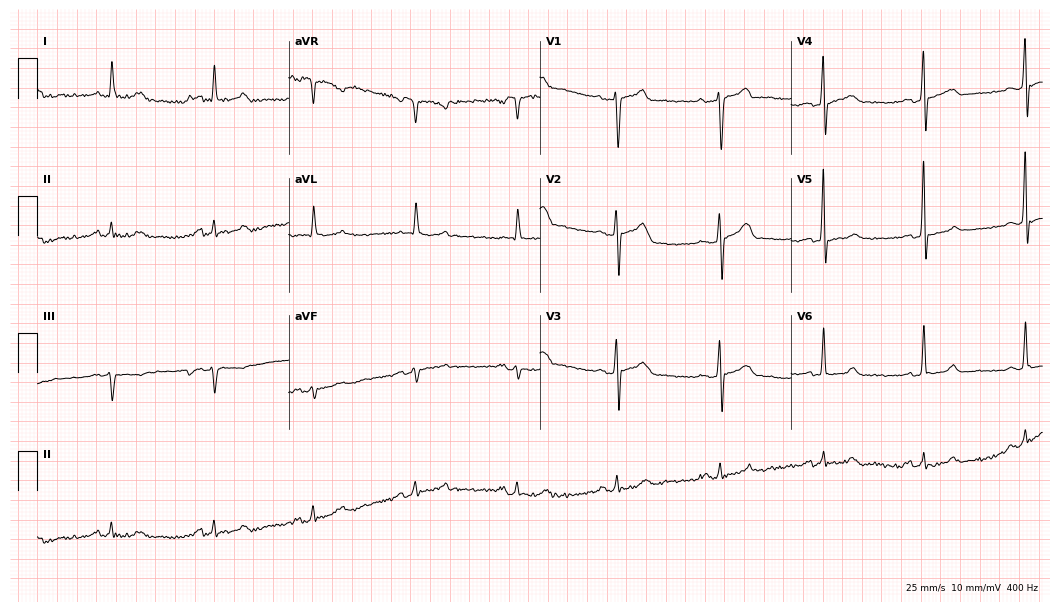
Electrocardiogram, a 67-year-old man. Of the six screened findings (first-degree AV block, right bundle branch block, left bundle branch block, sinus bradycardia, atrial fibrillation, sinus tachycardia), none is recorded. Other findings, if any, are not listed.